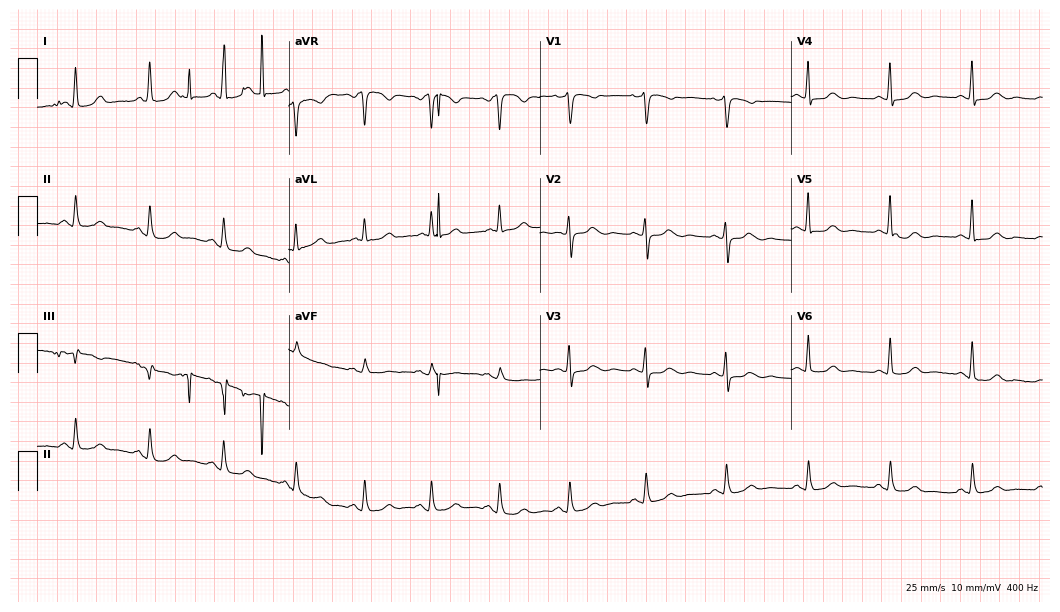
ECG — a 48-year-old female. Screened for six findings — first-degree AV block, right bundle branch block, left bundle branch block, sinus bradycardia, atrial fibrillation, sinus tachycardia — none is recorded.